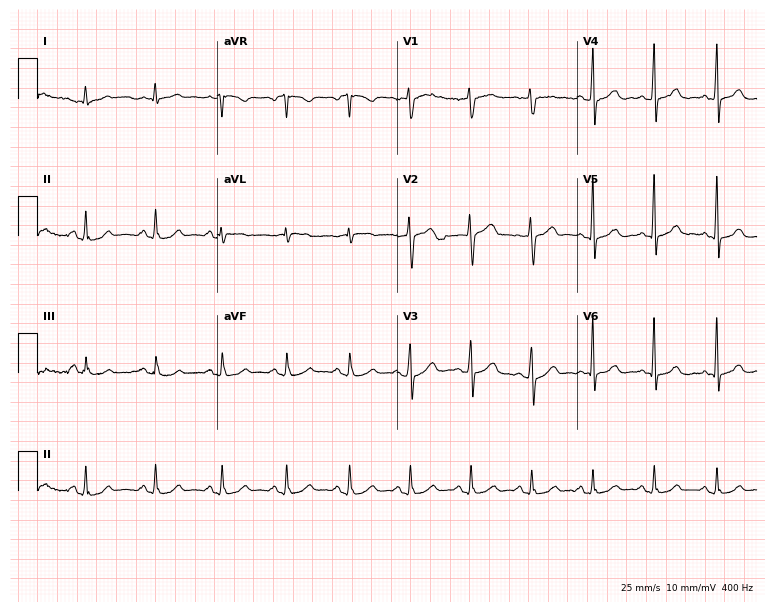
ECG (7.3-second recording at 400 Hz) — a male patient, 49 years old. Screened for six findings — first-degree AV block, right bundle branch block, left bundle branch block, sinus bradycardia, atrial fibrillation, sinus tachycardia — none is recorded.